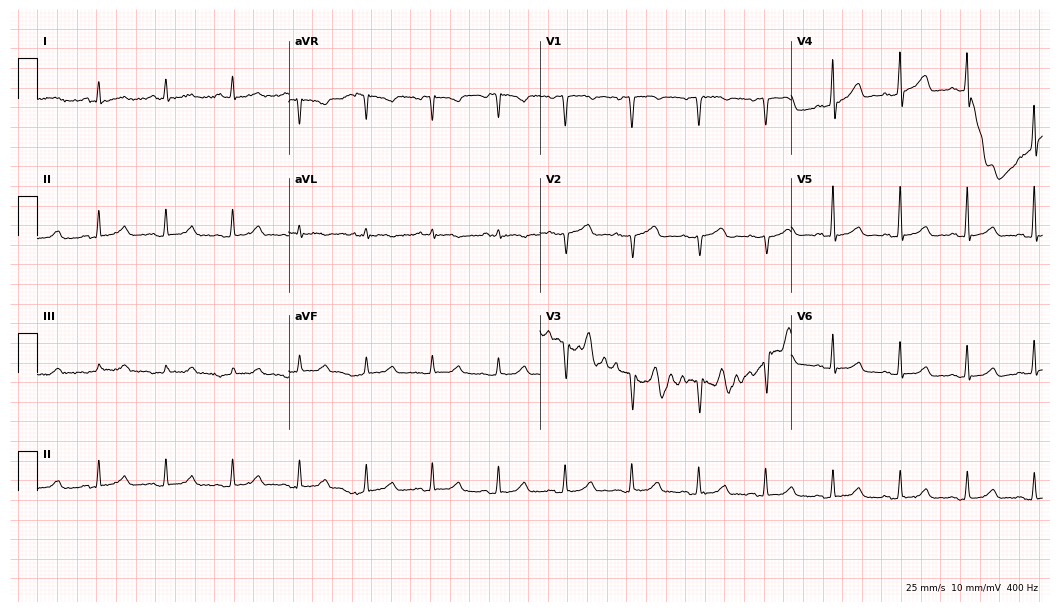
ECG (10.2-second recording at 400 Hz) — a 63-year-old man. Screened for six findings — first-degree AV block, right bundle branch block (RBBB), left bundle branch block (LBBB), sinus bradycardia, atrial fibrillation (AF), sinus tachycardia — none is recorded.